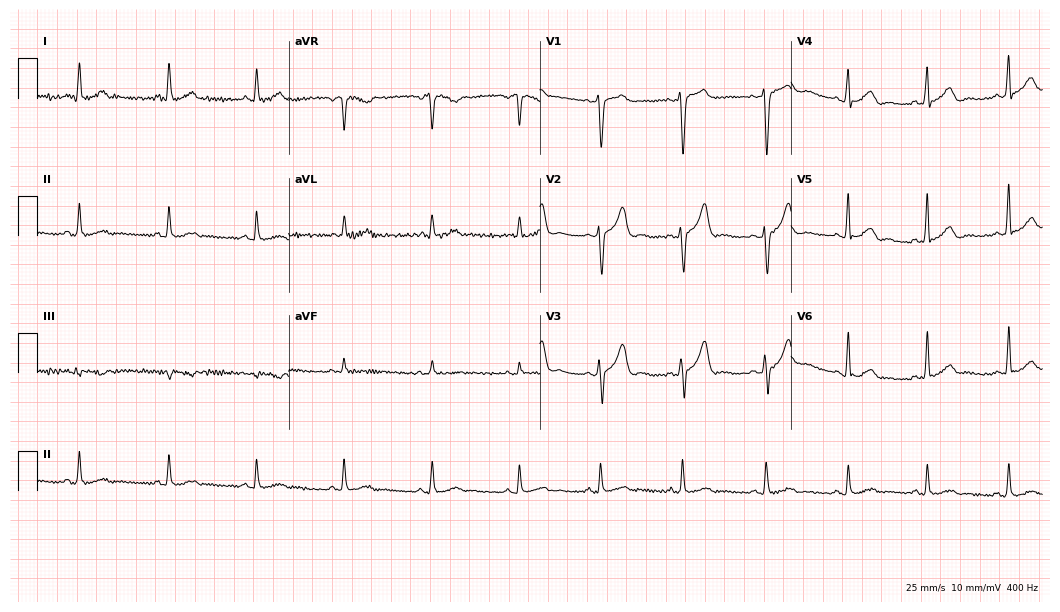
Resting 12-lead electrocardiogram. Patient: a 30-year-old man. Read as a normal ECG.